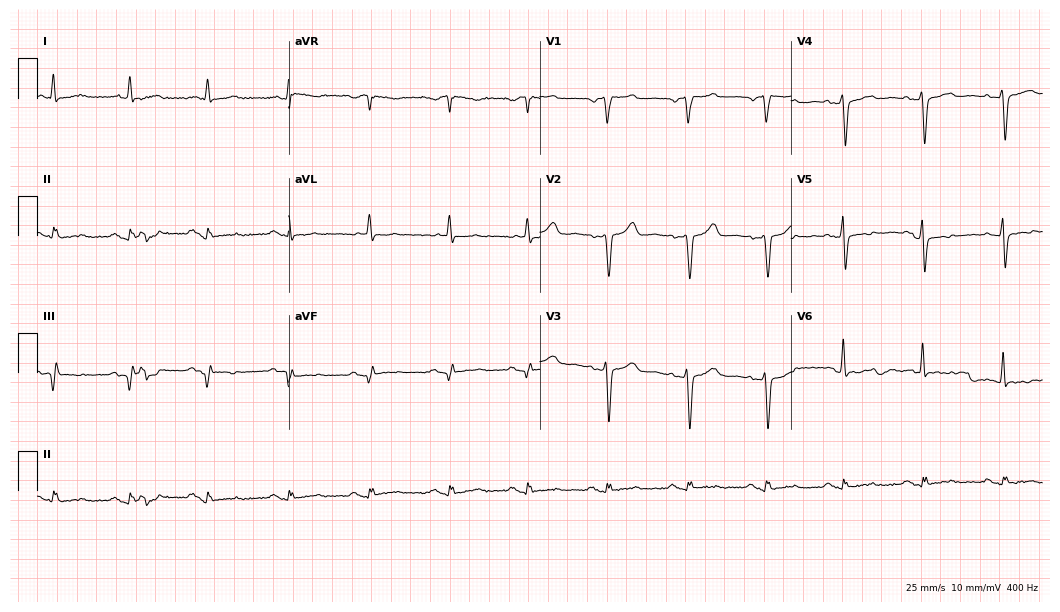
12-lead ECG from a male patient, 57 years old. No first-degree AV block, right bundle branch block, left bundle branch block, sinus bradycardia, atrial fibrillation or sinus tachycardia recorded for this tracing.